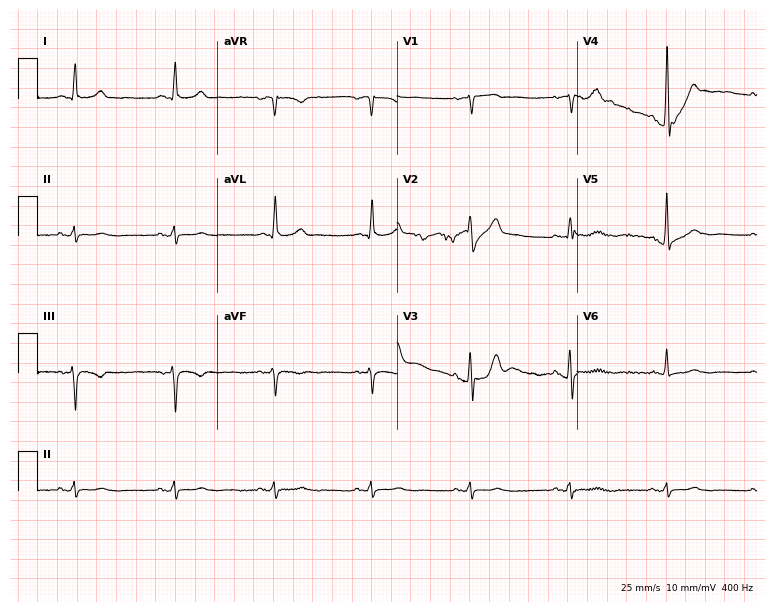
Standard 12-lead ECG recorded from a male patient, 72 years old (7.3-second recording at 400 Hz). None of these six findings is recorded: first-degree AV block, right bundle branch block (RBBB), left bundle branch block (LBBB), sinus bradycardia, atrial fibrillation (AF), sinus tachycardia.